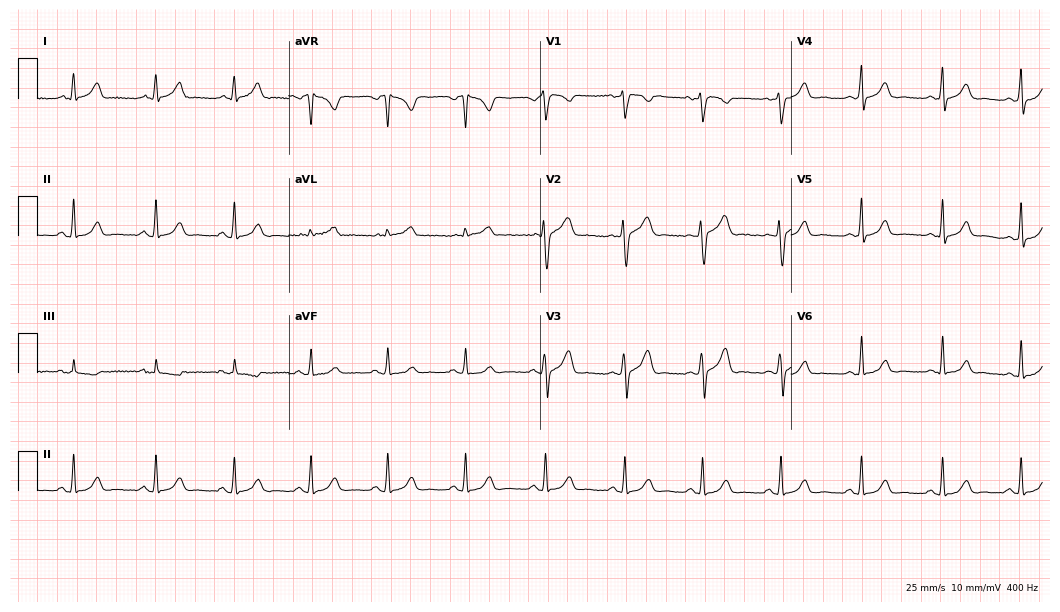
12-lead ECG from a 30-year-old female (10.2-second recording at 400 Hz). Recorded interpretation: within normal limits.